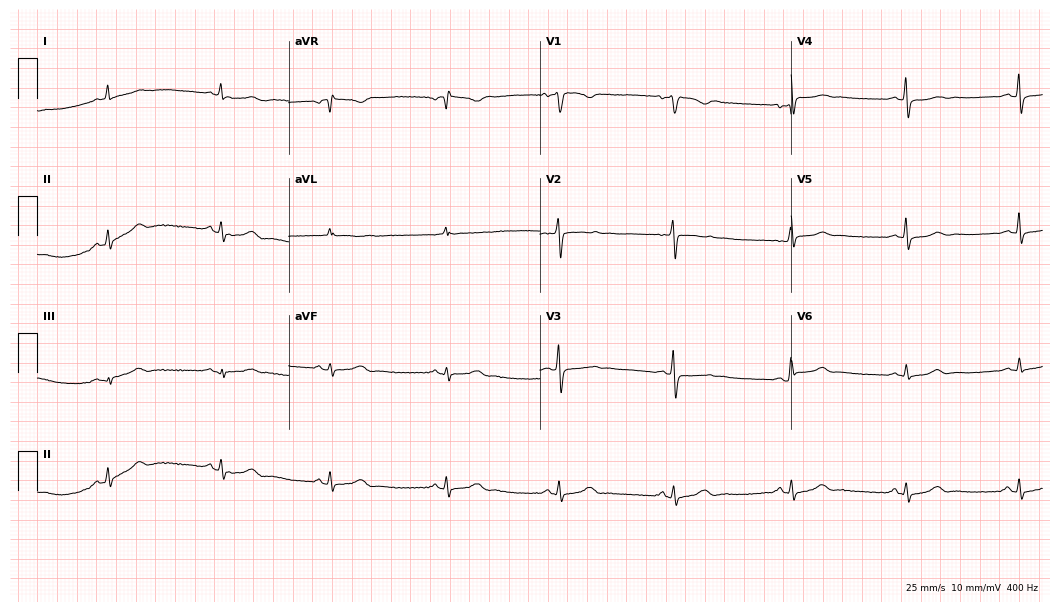
Electrocardiogram (10.2-second recording at 400 Hz), a 26-year-old female patient. Of the six screened findings (first-degree AV block, right bundle branch block, left bundle branch block, sinus bradycardia, atrial fibrillation, sinus tachycardia), none is recorded. Only these six findings were labelled.